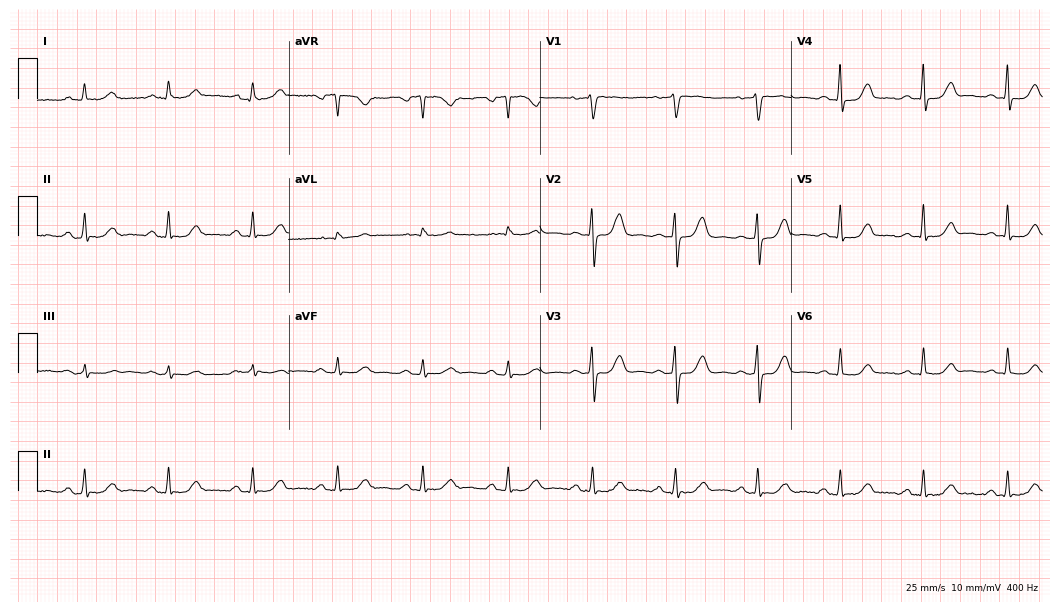
Standard 12-lead ECG recorded from a 73-year-old female patient. Read as a normal ECG.